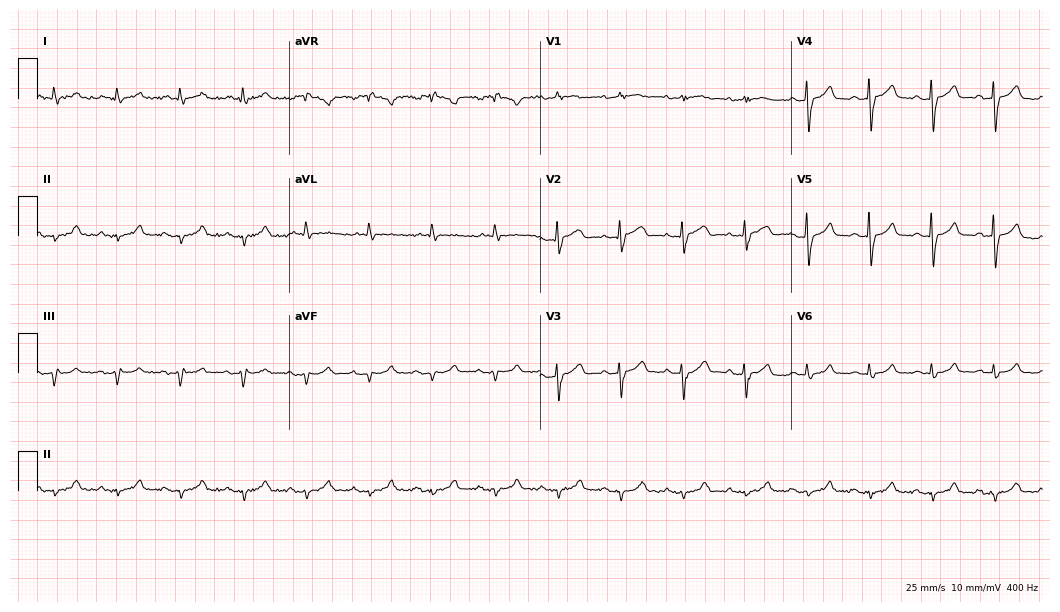
Electrocardiogram (10.2-second recording at 400 Hz), a male patient, 65 years old. Of the six screened findings (first-degree AV block, right bundle branch block, left bundle branch block, sinus bradycardia, atrial fibrillation, sinus tachycardia), none is recorded.